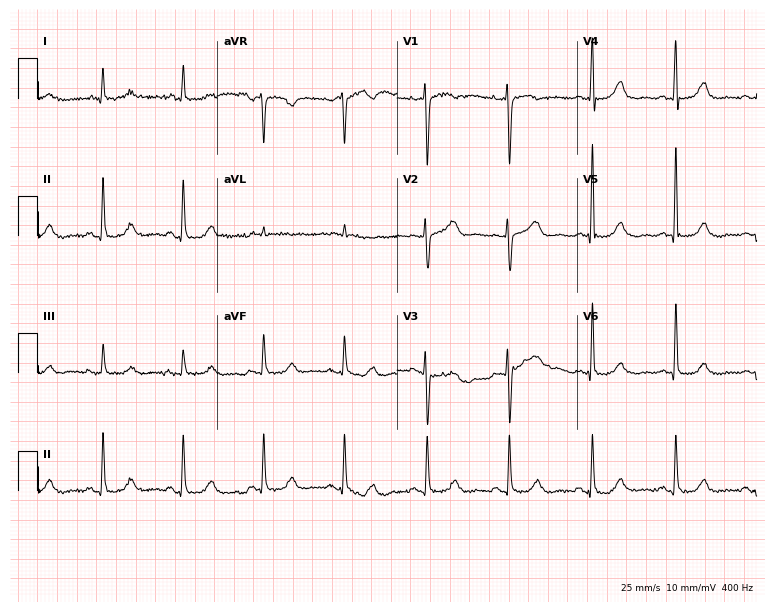
Electrocardiogram, a 58-year-old female patient. Of the six screened findings (first-degree AV block, right bundle branch block, left bundle branch block, sinus bradycardia, atrial fibrillation, sinus tachycardia), none is recorded.